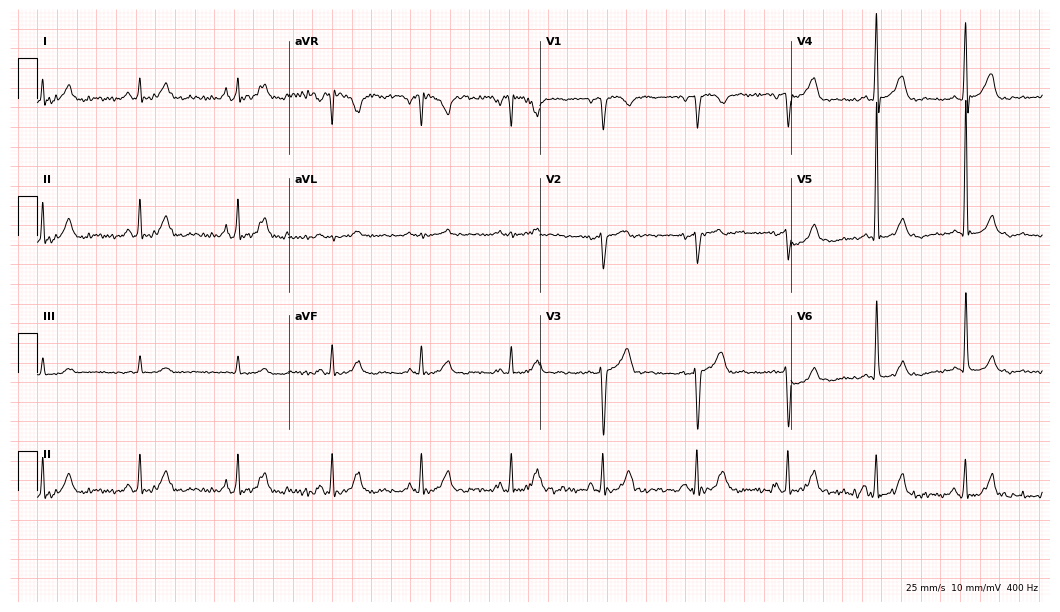
Resting 12-lead electrocardiogram. Patient: a man, 60 years old. Read as a normal ECG.